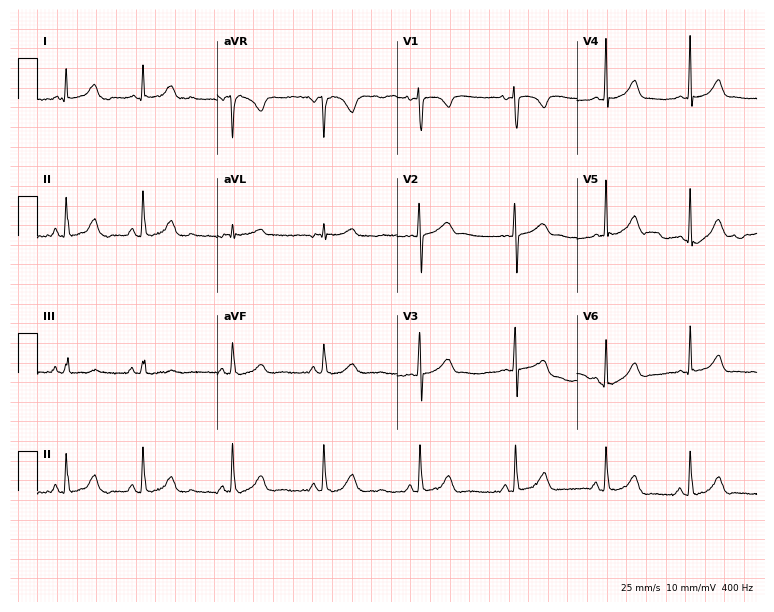
12-lead ECG from a female patient, 19 years old. Labelled as a normal ECG.